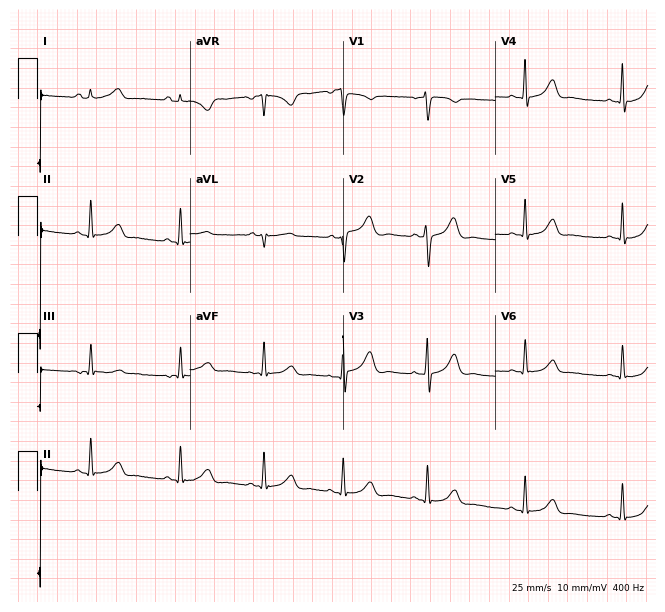
Standard 12-lead ECG recorded from a woman, 29 years old. None of these six findings is recorded: first-degree AV block, right bundle branch block, left bundle branch block, sinus bradycardia, atrial fibrillation, sinus tachycardia.